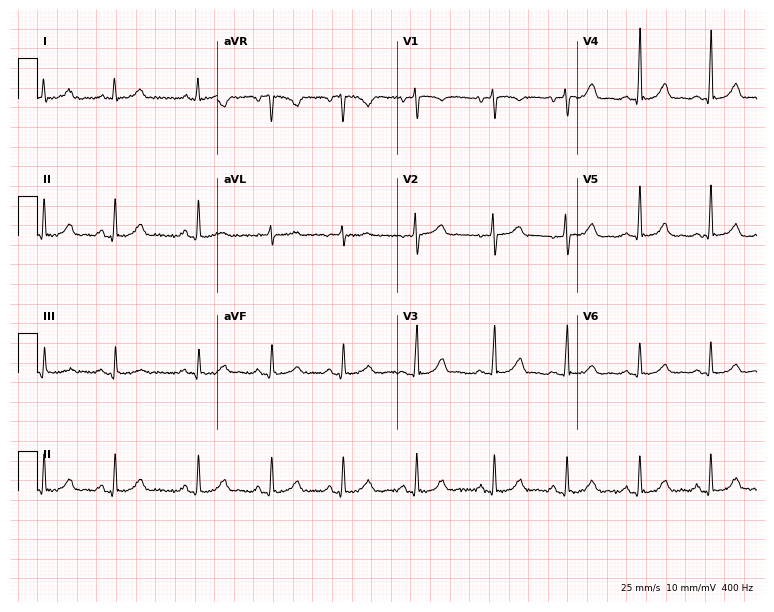
12-lead ECG from a woman, 48 years old. Recorded interpretation: within normal limits.